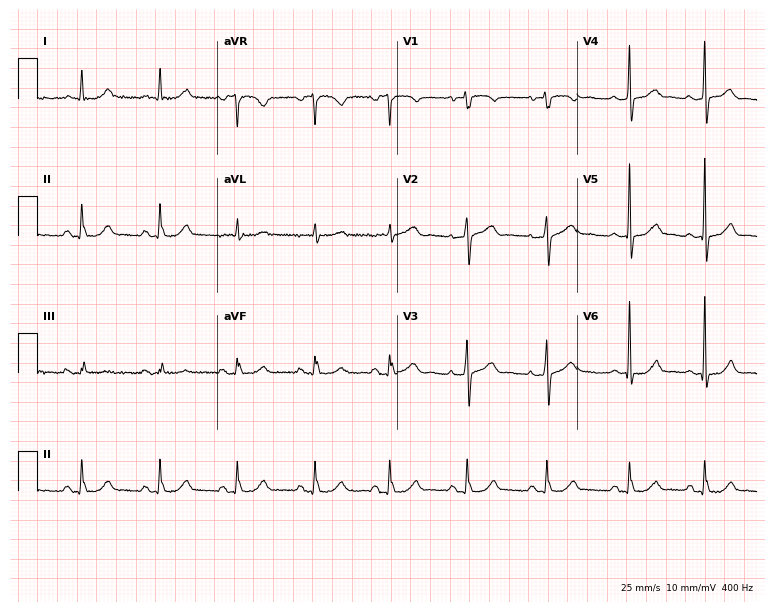
Resting 12-lead electrocardiogram. Patient: a 62-year-old male. Read as a normal ECG.